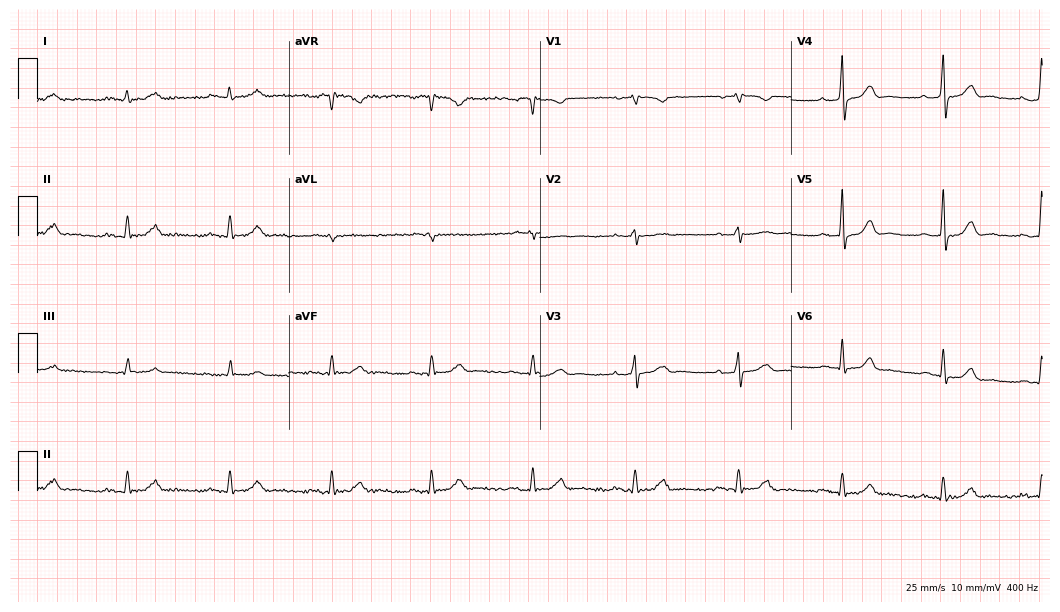
ECG (10.2-second recording at 400 Hz) — a man, 71 years old. Labelled as a normal ECG.